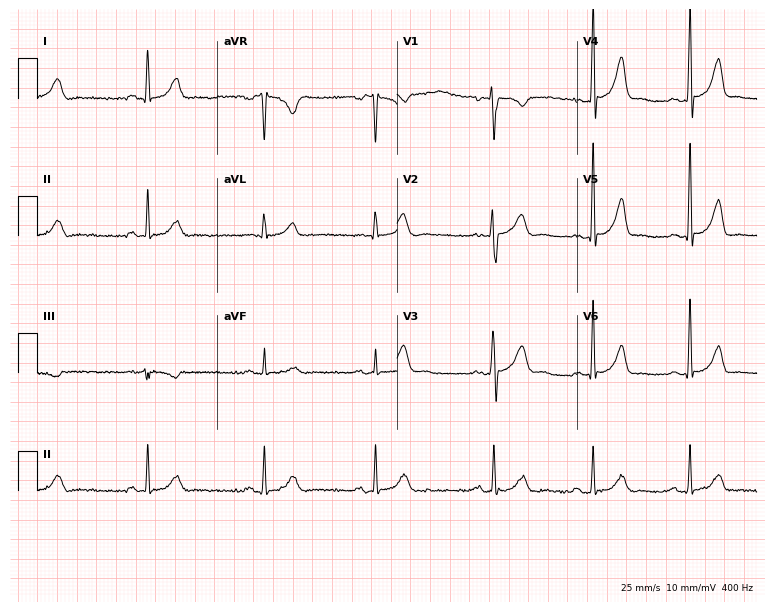
Electrocardiogram (7.3-second recording at 400 Hz), a female patient, 38 years old. Of the six screened findings (first-degree AV block, right bundle branch block, left bundle branch block, sinus bradycardia, atrial fibrillation, sinus tachycardia), none is recorded. Findings outside these six are not listed.